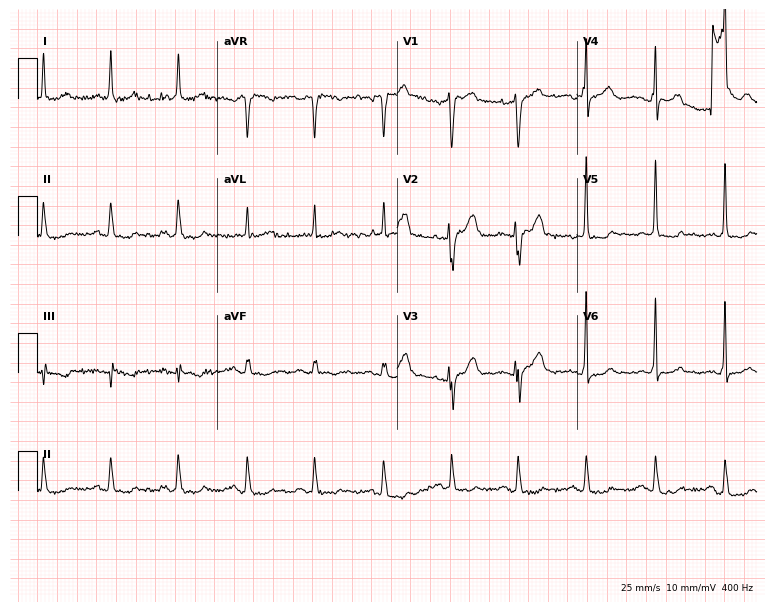
Resting 12-lead electrocardiogram. Patient: a woman, 63 years old. None of these six findings is recorded: first-degree AV block, right bundle branch block (RBBB), left bundle branch block (LBBB), sinus bradycardia, atrial fibrillation (AF), sinus tachycardia.